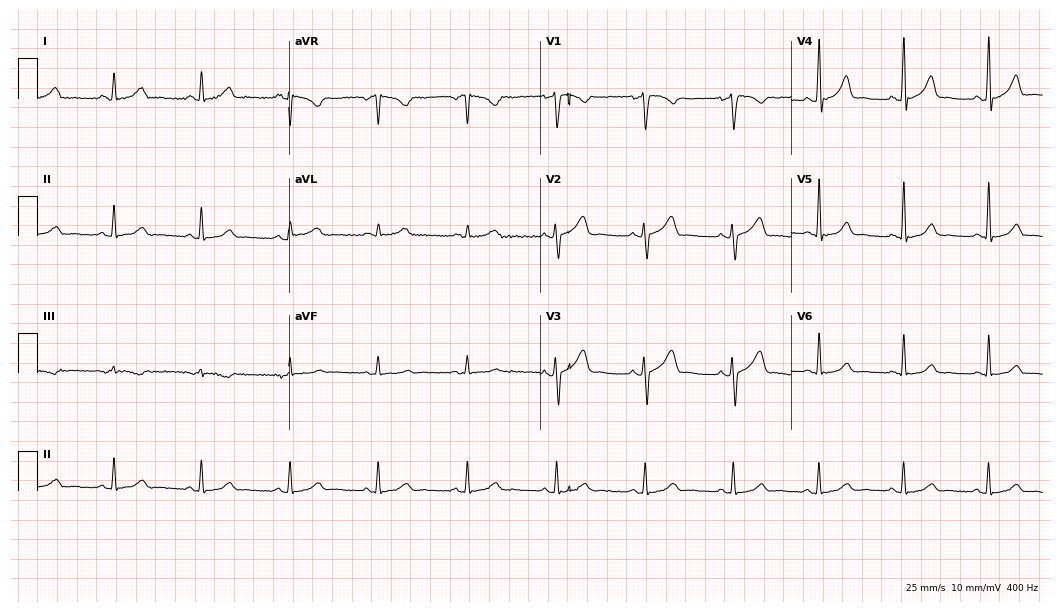
ECG (10.2-second recording at 400 Hz) — a 34-year-old woman. Screened for six findings — first-degree AV block, right bundle branch block, left bundle branch block, sinus bradycardia, atrial fibrillation, sinus tachycardia — none is recorded. Only these six findings were labelled.